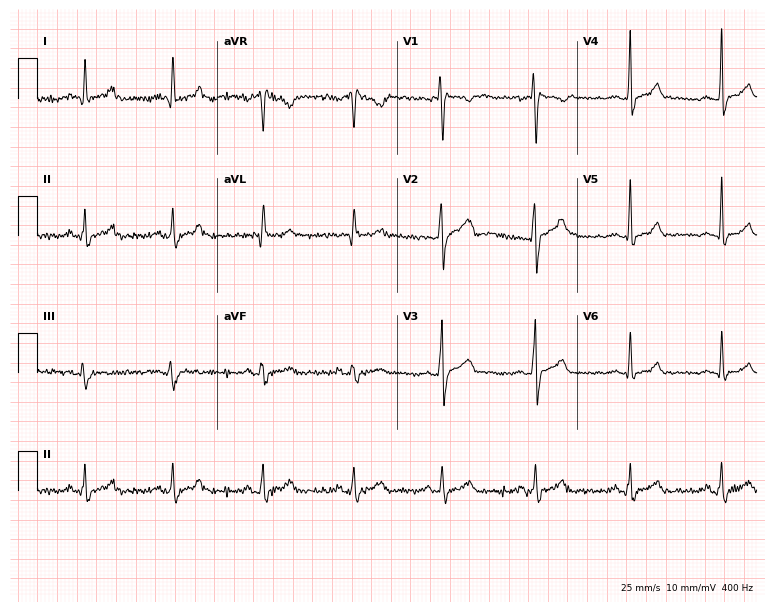
Standard 12-lead ECG recorded from a man, 37 years old (7.3-second recording at 400 Hz). Read as a normal ECG.